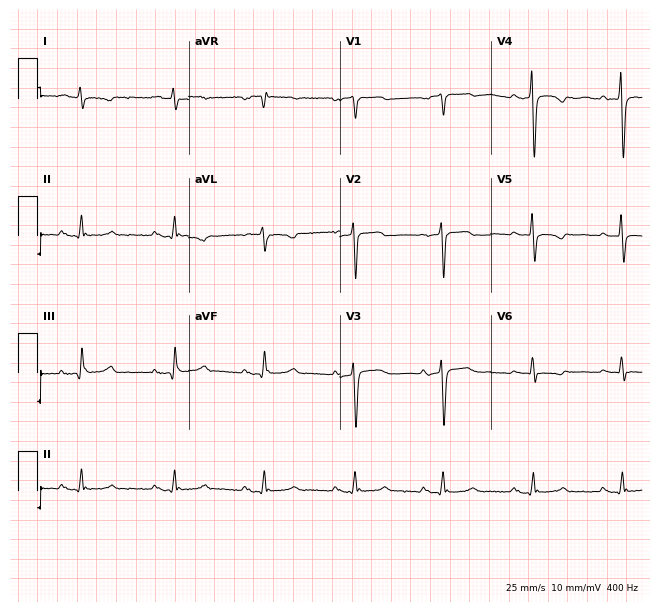
Resting 12-lead electrocardiogram. Patient: a 61-year-old man. None of these six findings is recorded: first-degree AV block, right bundle branch block, left bundle branch block, sinus bradycardia, atrial fibrillation, sinus tachycardia.